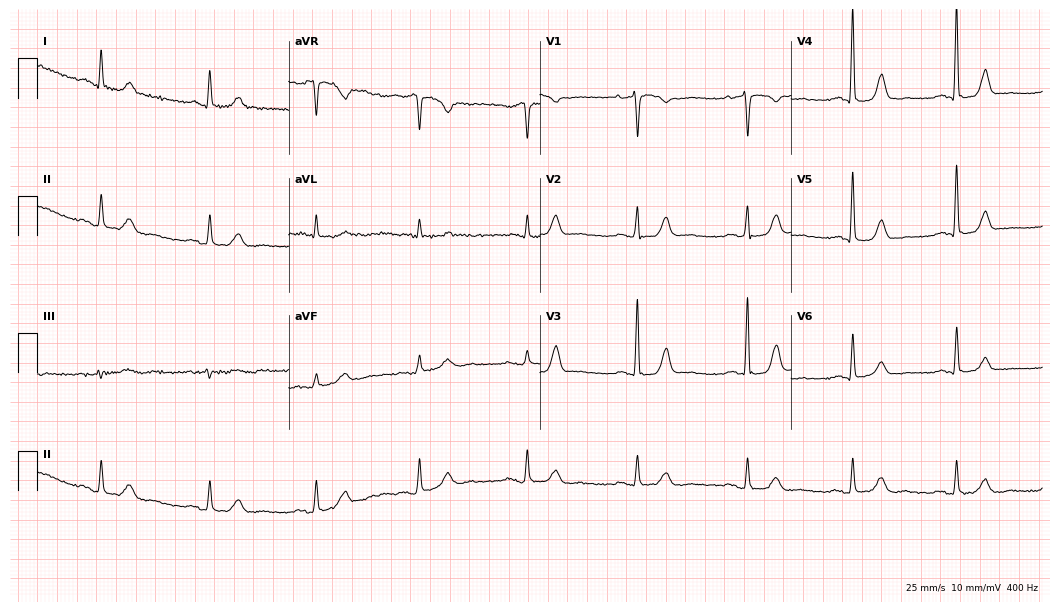
Electrocardiogram, a 72-year-old female. Of the six screened findings (first-degree AV block, right bundle branch block, left bundle branch block, sinus bradycardia, atrial fibrillation, sinus tachycardia), none is recorded. Other findings, if any, are not listed.